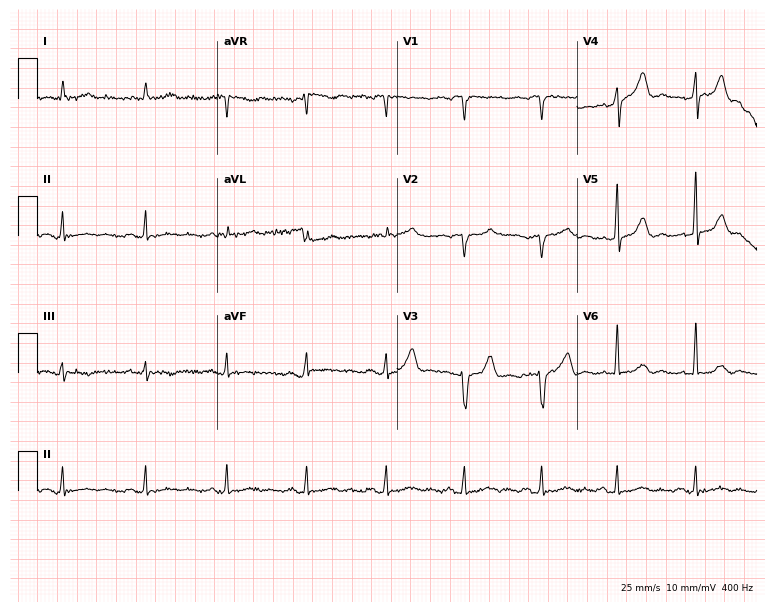
12-lead ECG (7.3-second recording at 400 Hz) from a 74-year-old male. Screened for six findings — first-degree AV block, right bundle branch block, left bundle branch block, sinus bradycardia, atrial fibrillation, sinus tachycardia — none is recorded.